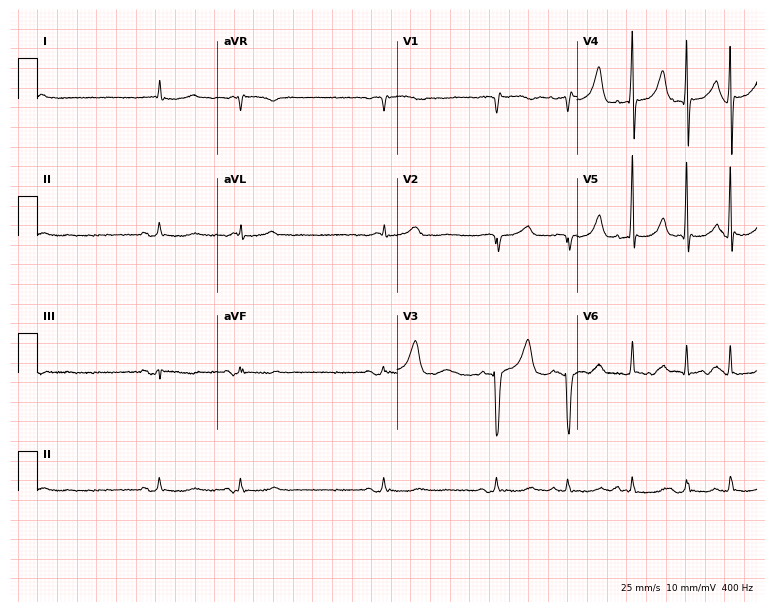
ECG — a male patient, 60 years old. Screened for six findings — first-degree AV block, right bundle branch block, left bundle branch block, sinus bradycardia, atrial fibrillation, sinus tachycardia — none is recorded. Findings outside these six are not listed.